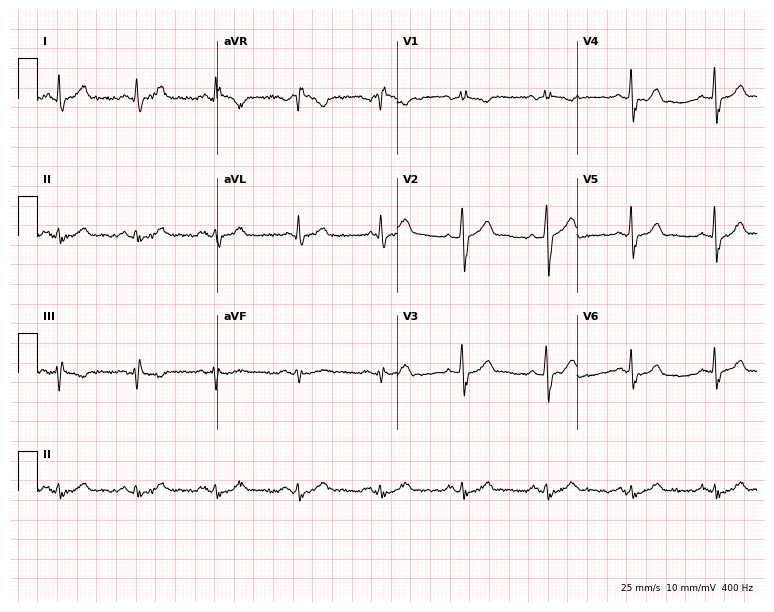
ECG (7.3-second recording at 400 Hz) — a male patient, 49 years old. Labelled as a normal ECG.